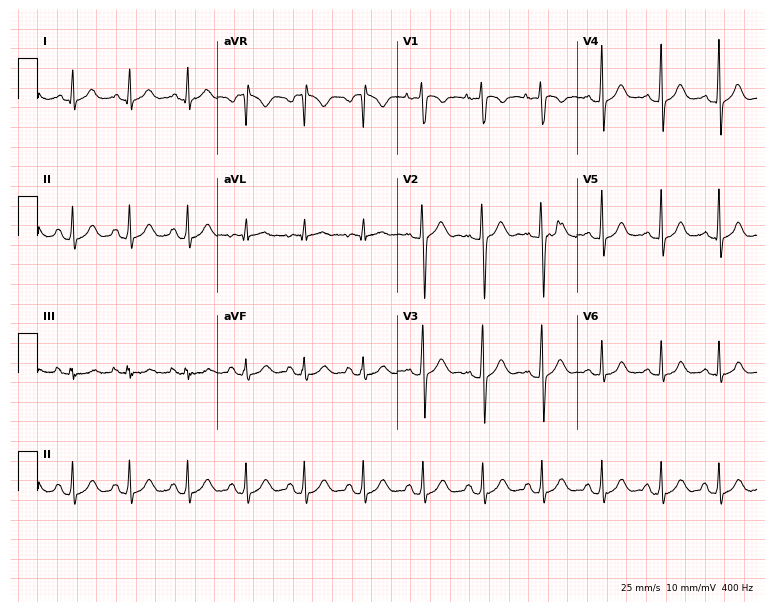
12-lead ECG from a 21-year-old woman. Screened for six findings — first-degree AV block, right bundle branch block (RBBB), left bundle branch block (LBBB), sinus bradycardia, atrial fibrillation (AF), sinus tachycardia — none is recorded.